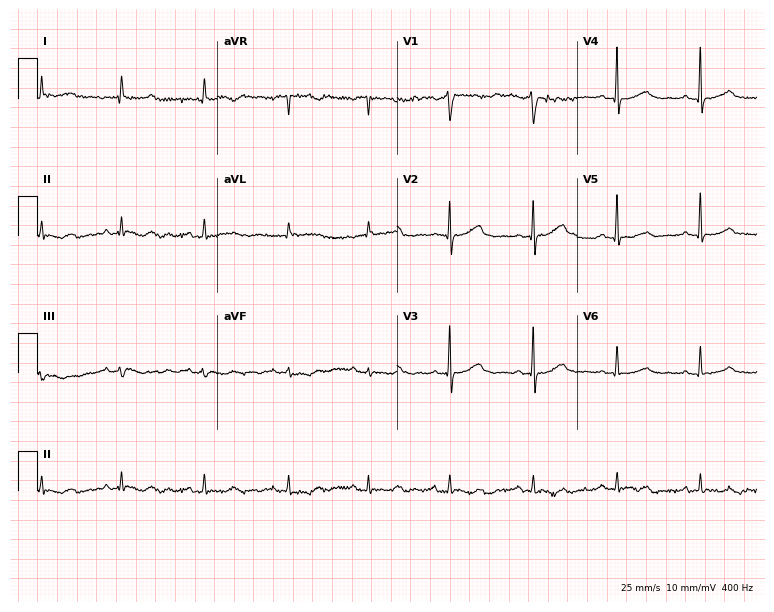
Standard 12-lead ECG recorded from a 55-year-old female. Read as a normal ECG.